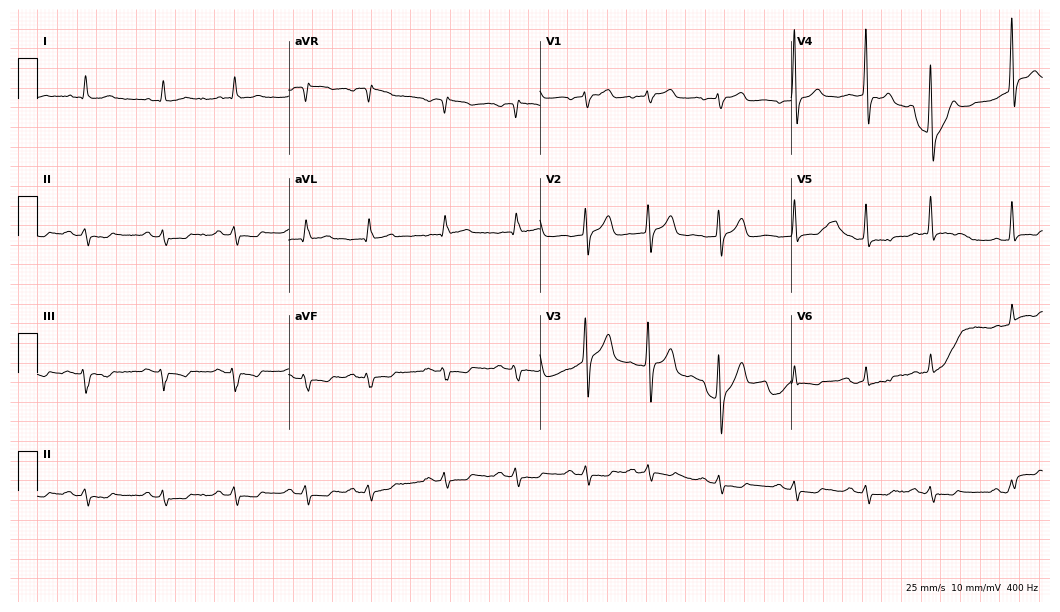
Resting 12-lead electrocardiogram. Patient: a 77-year-old man. None of these six findings is recorded: first-degree AV block, right bundle branch block, left bundle branch block, sinus bradycardia, atrial fibrillation, sinus tachycardia. Only these six findings were labelled.